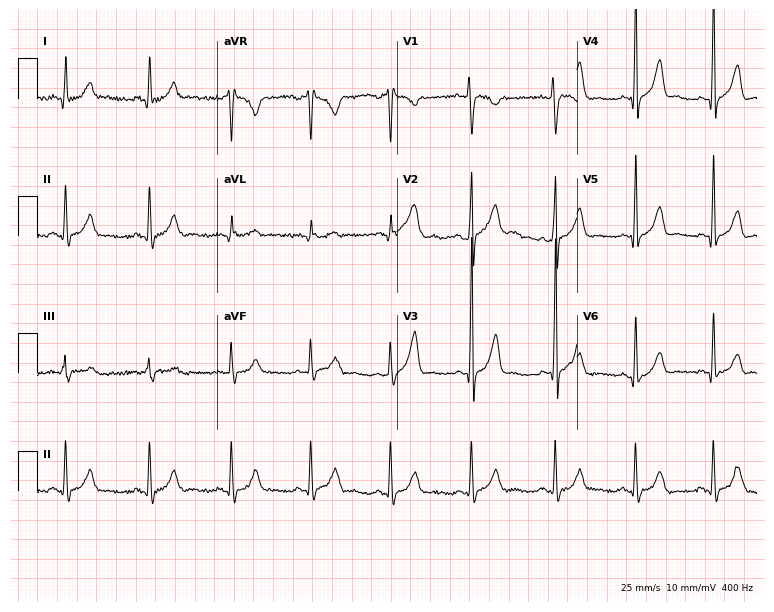
12-lead ECG from a 29-year-old male patient. Labelled as a normal ECG.